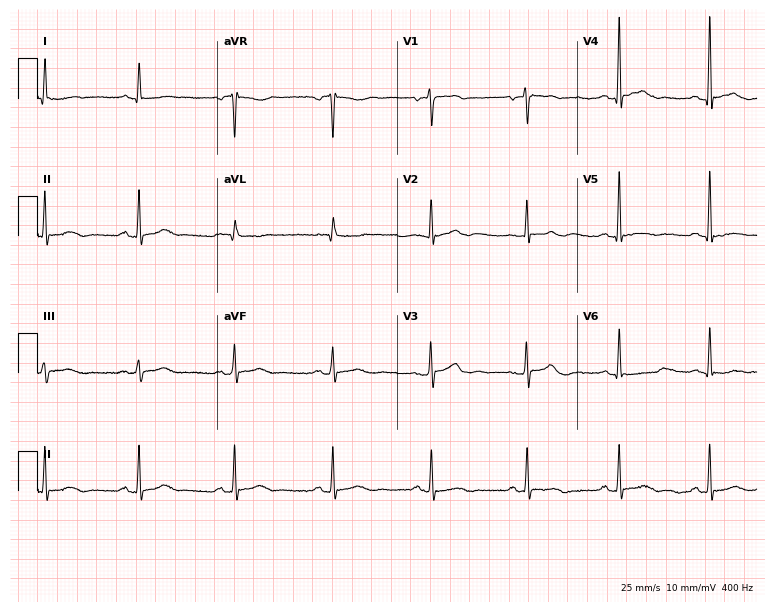
12-lead ECG from a 71-year-old female patient. No first-degree AV block, right bundle branch block, left bundle branch block, sinus bradycardia, atrial fibrillation or sinus tachycardia recorded for this tracing. Only these six findings were labelled.